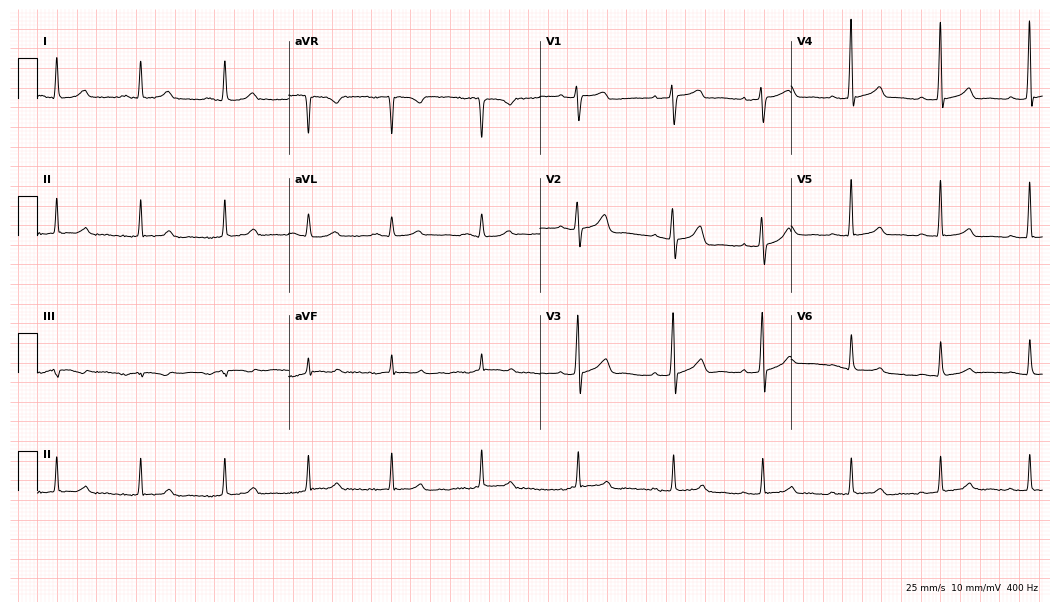
12-lead ECG from a female, 77 years old. No first-degree AV block, right bundle branch block (RBBB), left bundle branch block (LBBB), sinus bradycardia, atrial fibrillation (AF) or sinus tachycardia recorded for this tracing. Only these six findings were labelled.